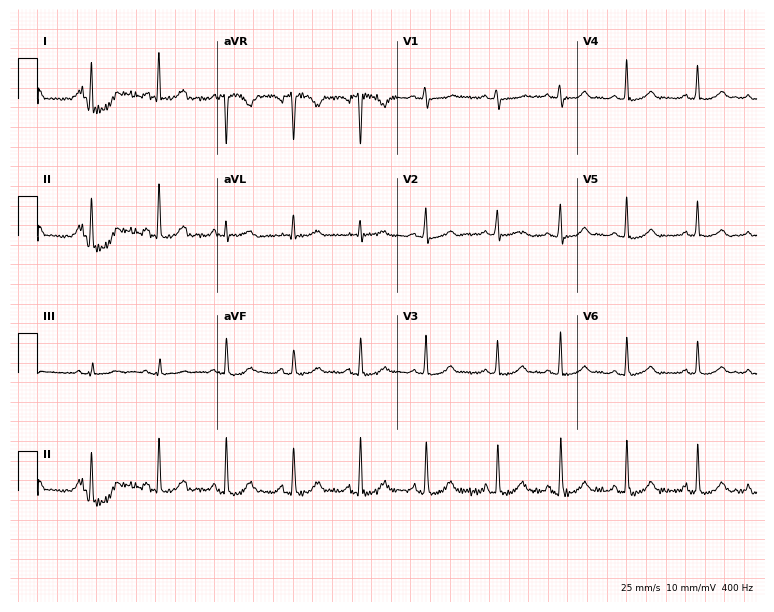
ECG — a female, 28 years old. Labelled as a normal ECG.